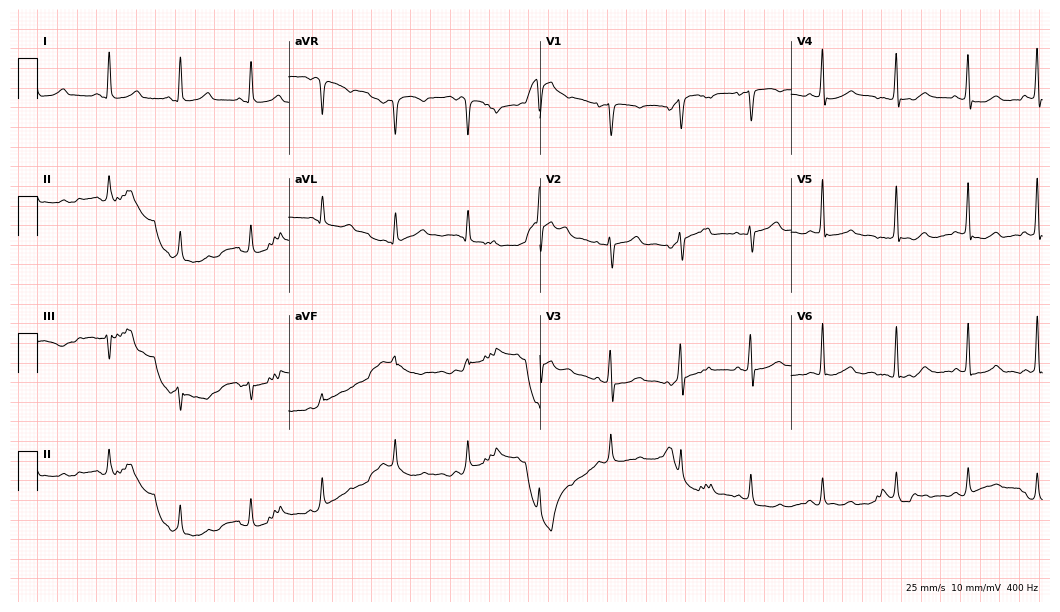
12-lead ECG from a woman, 39 years old (10.2-second recording at 400 Hz). Recorded interpretation: within normal limits.